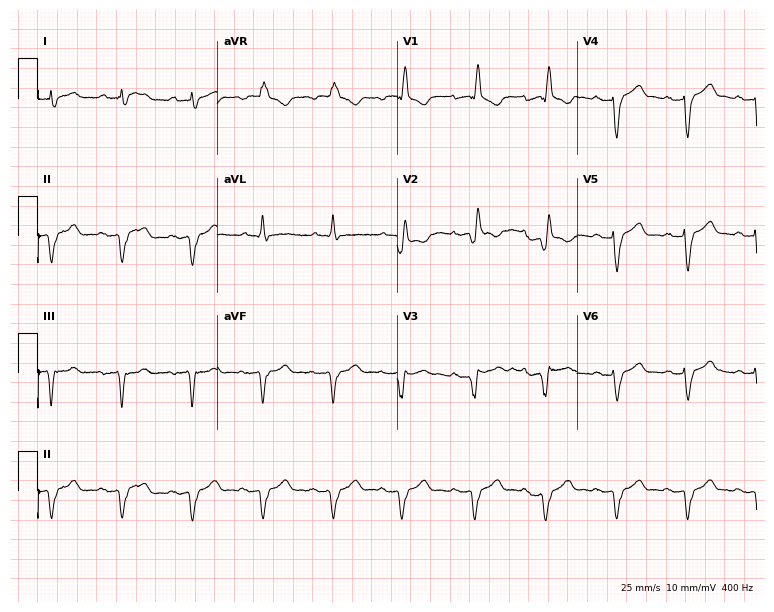
Standard 12-lead ECG recorded from a male patient, 66 years old. The tracing shows right bundle branch block.